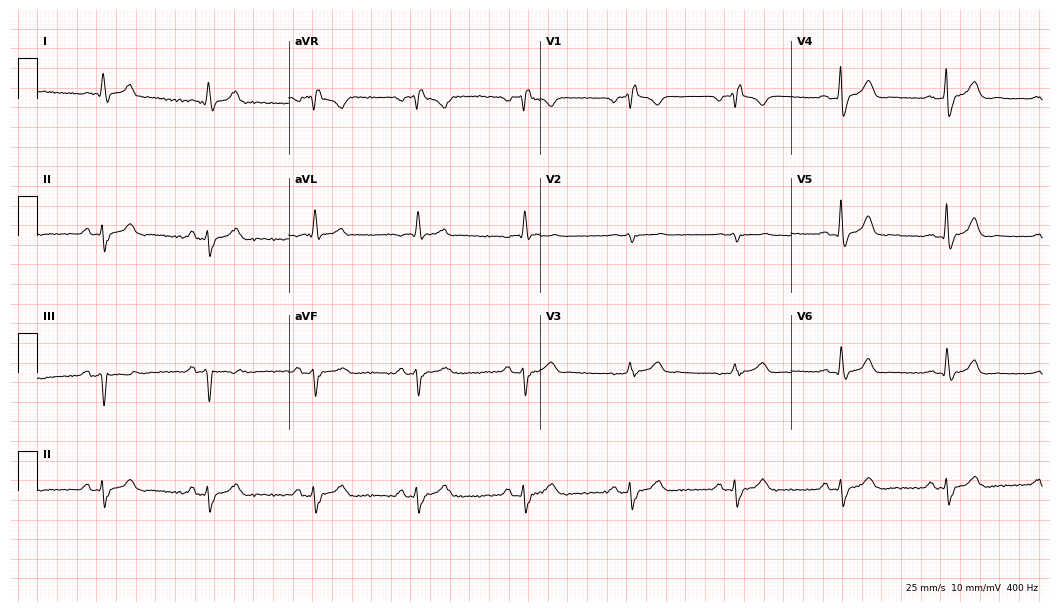
Electrocardiogram, a male patient, 67 years old. Interpretation includes right bundle branch block.